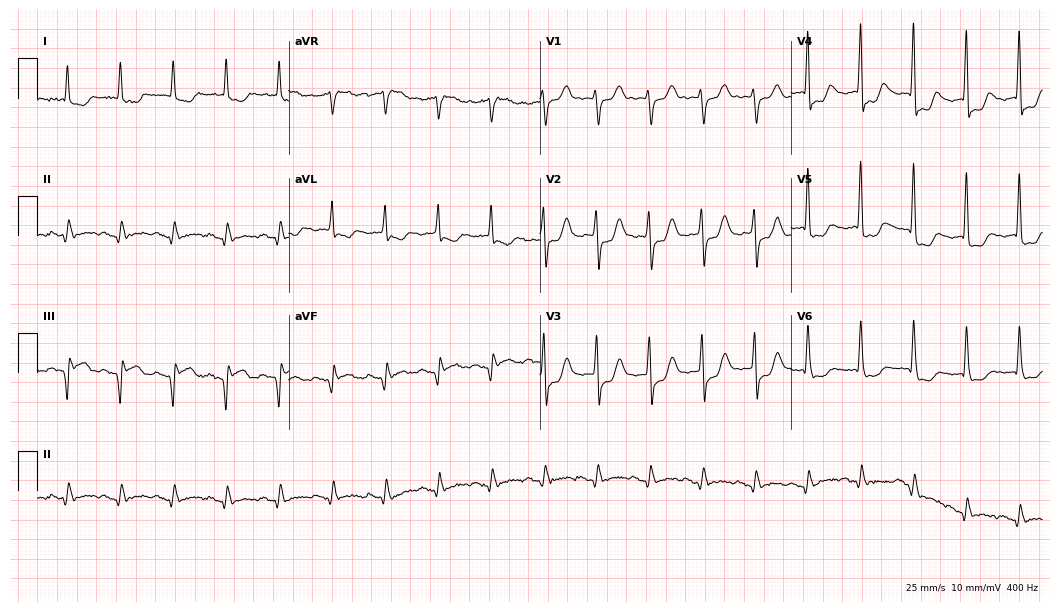
Resting 12-lead electrocardiogram (10.2-second recording at 400 Hz). Patient: a 70-year-old female. The tracing shows sinus tachycardia (a sinus rate of 100 beats per minute or more).